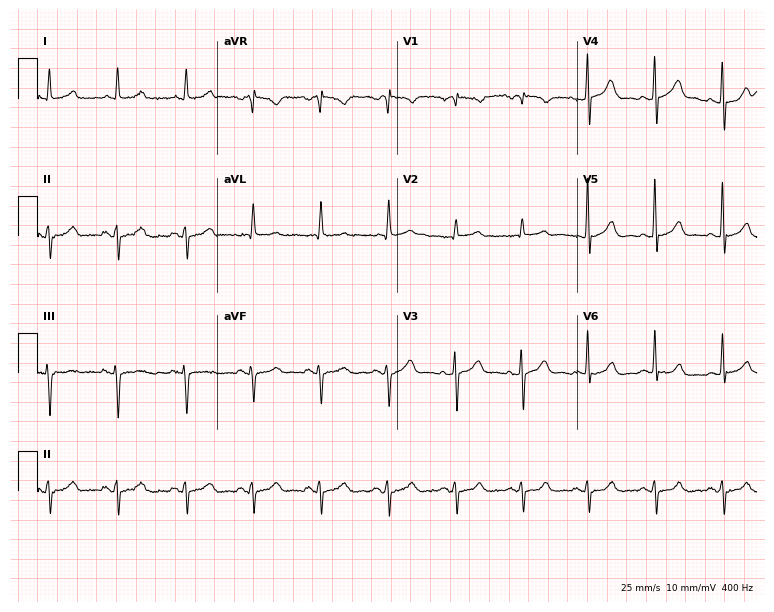
Electrocardiogram, a female patient, 60 years old. Of the six screened findings (first-degree AV block, right bundle branch block, left bundle branch block, sinus bradycardia, atrial fibrillation, sinus tachycardia), none is recorded. Other findings, if any, are not listed.